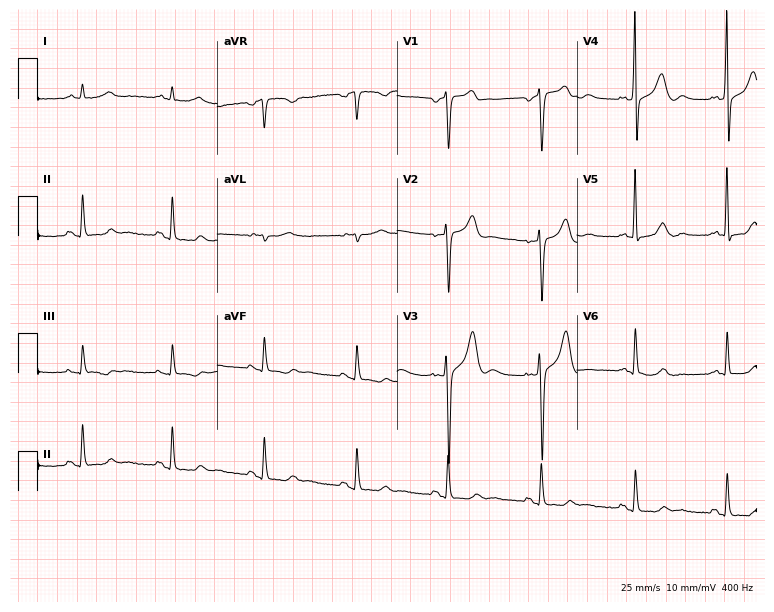
Standard 12-lead ECG recorded from a 72-year-old man (7.3-second recording at 400 Hz). None of these six findings is recorded: first-degree AV block, right bundle branch block (RBBB), left bundle branch block (LBBB), sinus bradycardia, atrial fibrillation (AF), sinus tachycardia.